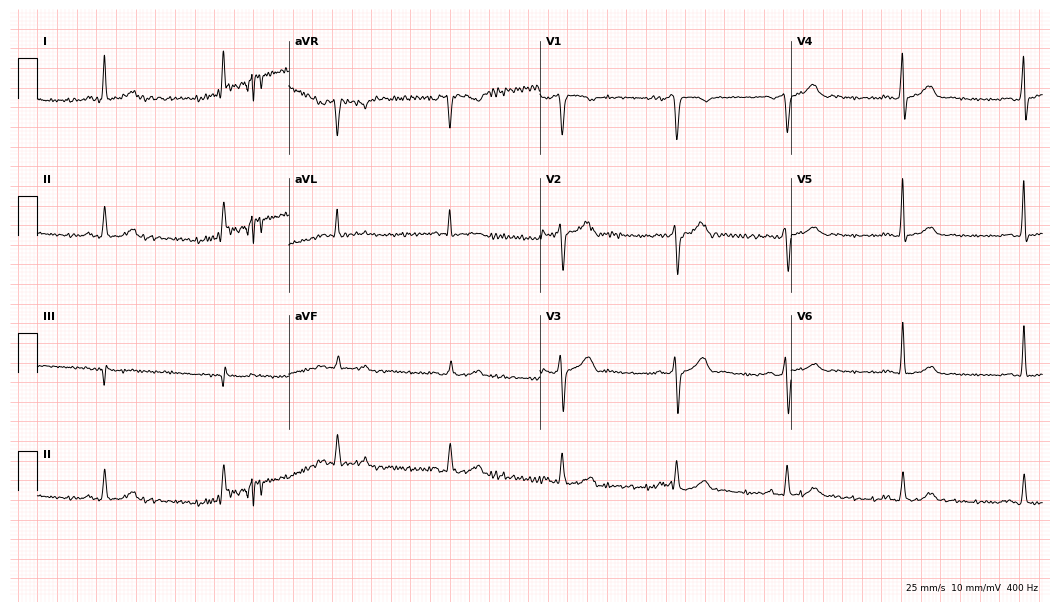
12-lead ECG from a 59-year-old man (10.2-second recording at 400 Hz). Recorded interpretation: within normal limits.